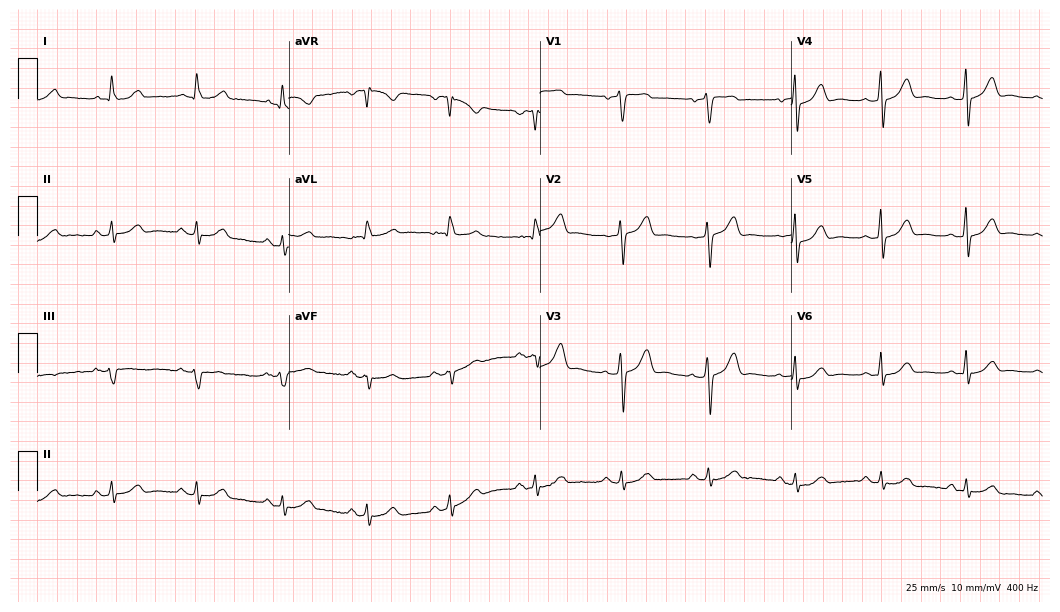
Standard 12-lead ECG recorded from a 60-year-old female patient (10.2-second recording at 400 Hz). Read as a normal ECG.